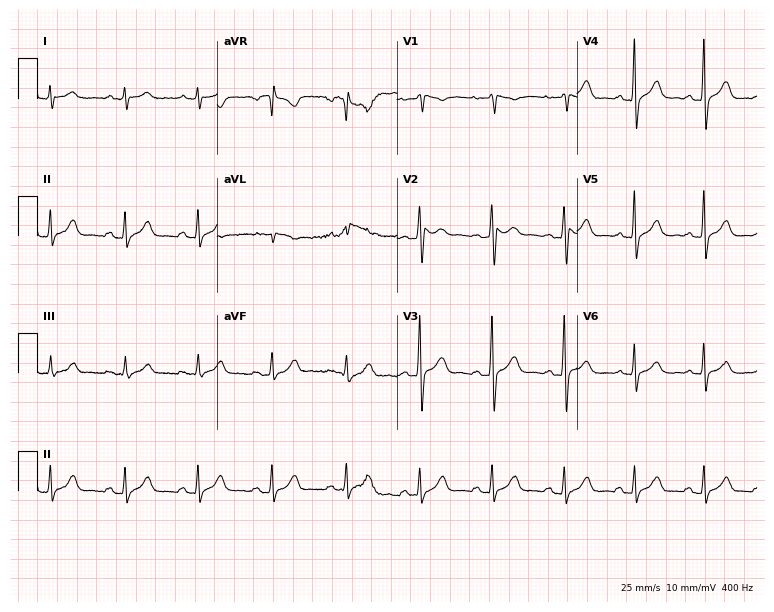
Electrocardiogram (7.3-second recording at 400 Hz), a 41-year-old man. Overall reading on record: normal ECG.